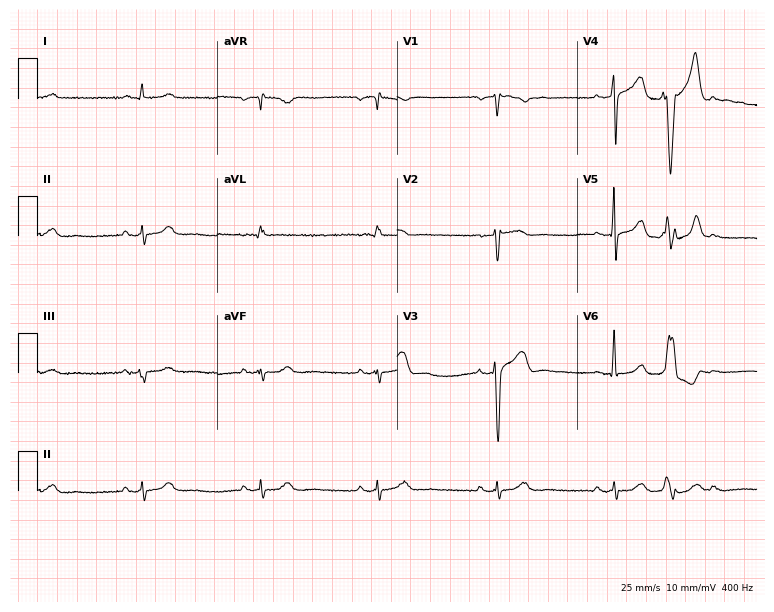
12-lead ECG from a 64-year-old man (7.3-second recording at 400 Hz). Shows sinus bradycardia (a sinus rate of 50 beats per minute or less).